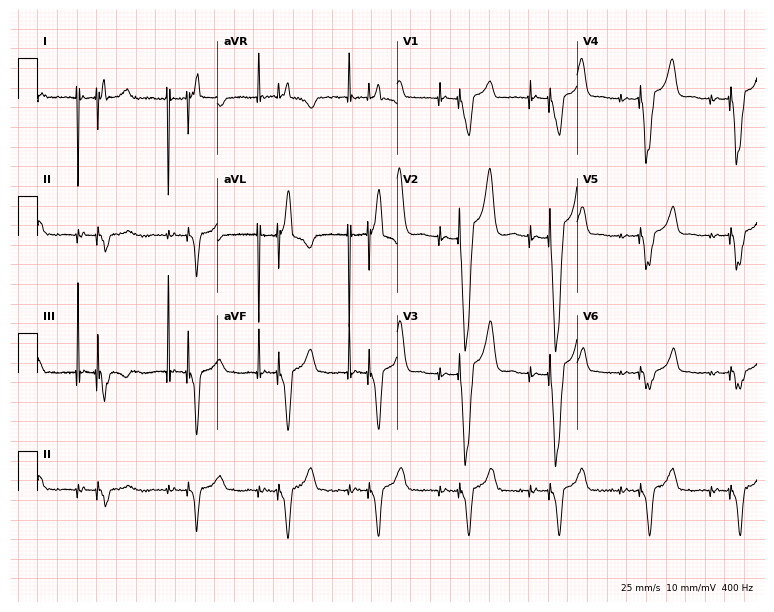
Standard 12-lead ECG recorded from a man, 42 years old. None of these six findings is recorded: first-degree AV block, right bundle branch block (RBBB), left bundle branch block (LBBB), sinus bradycardia, atrial fibrillation (AF), sinus tachycardia.